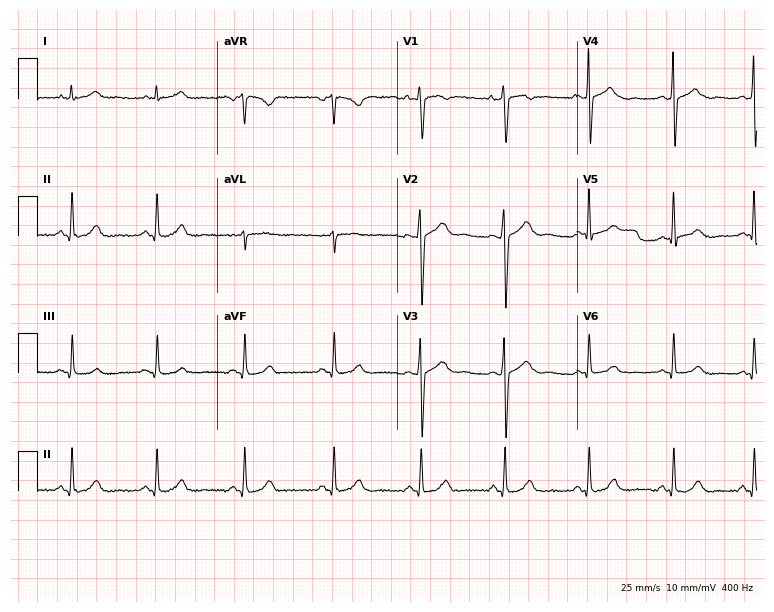
Standard 12-lead ECG recorded from a 35-year-old woman. Read as a normal ECG.